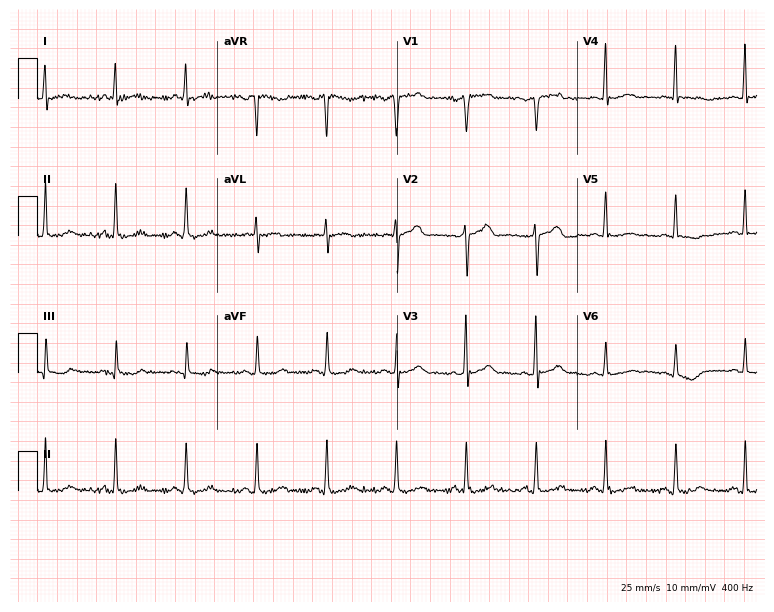
Resting 12-lead electrocardiogram. Patient: a male, 63 years old. Read as a normal ECG.